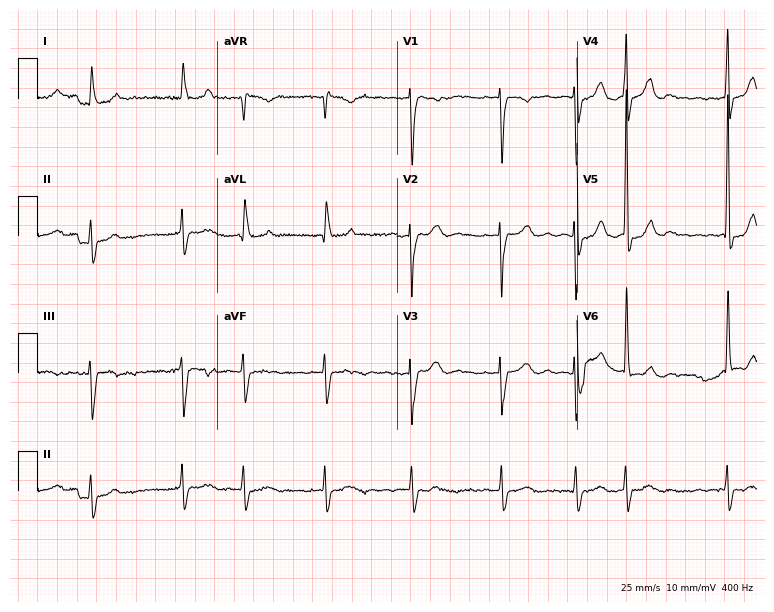
12-lead ECG (7.3-second recording at 400 Hz) from a 73-year-old woman. Findings include atrial fibrillation.